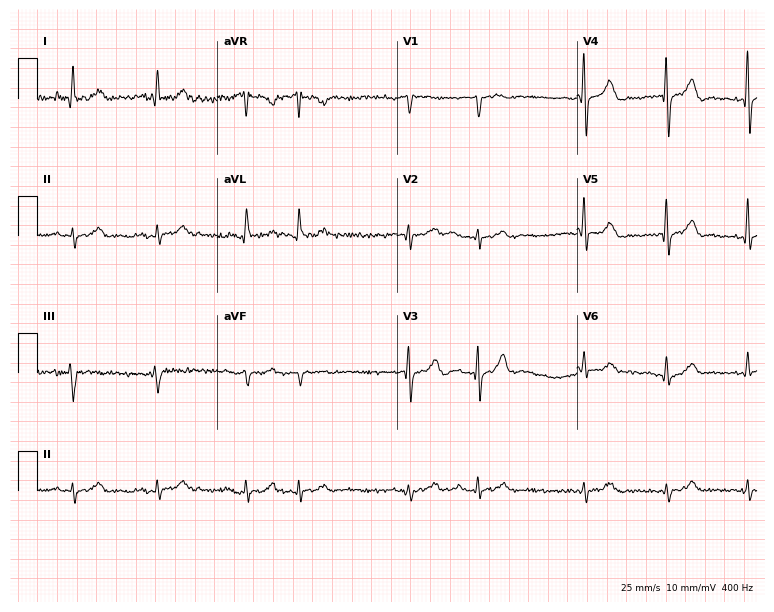
Electrocardiogram, an 82-year-old male patient. Of the six screened findings (first-degree AV block, right bundle branch block (RBBB), left bundle branch block (LBBB), sinus bradycardia, atrial fibrillation (AF), sinus tachycardia), none is recorded. Only these six findings were labelled.